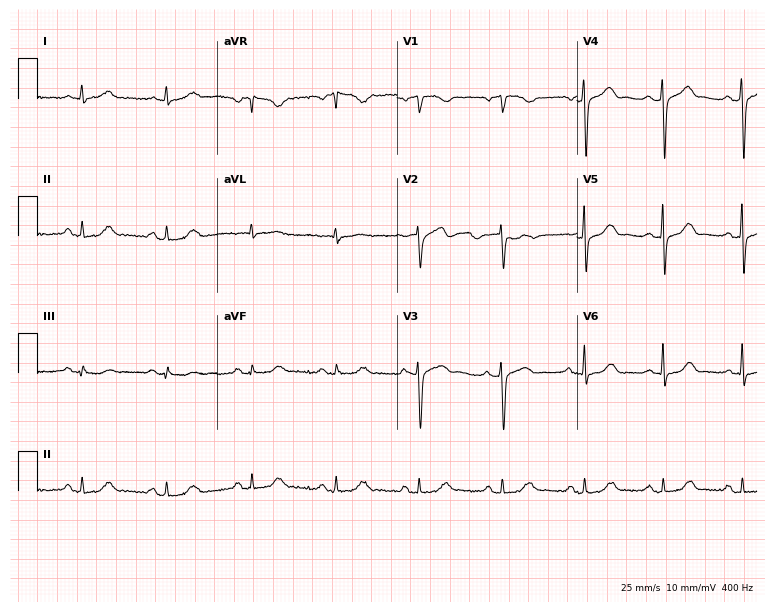
Electrocardiogram, a 76-year-old man. Overall reading on record: normal ECG.